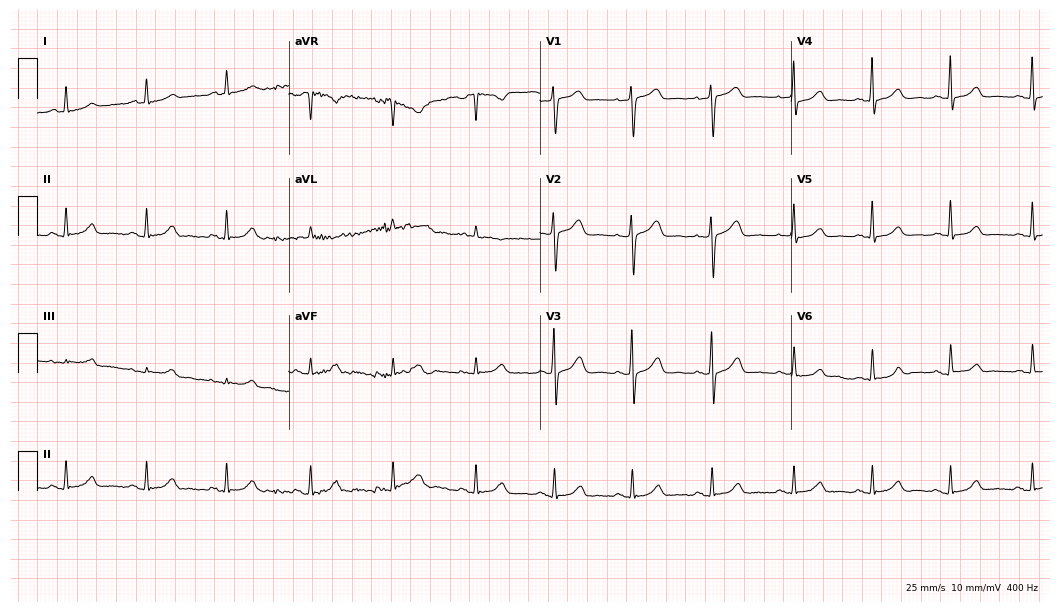
Resting 12-lead electrocardiogram (10.2-second recording at 400 Hz). Patient: a 62-year-old female. Read as a normal ECG.